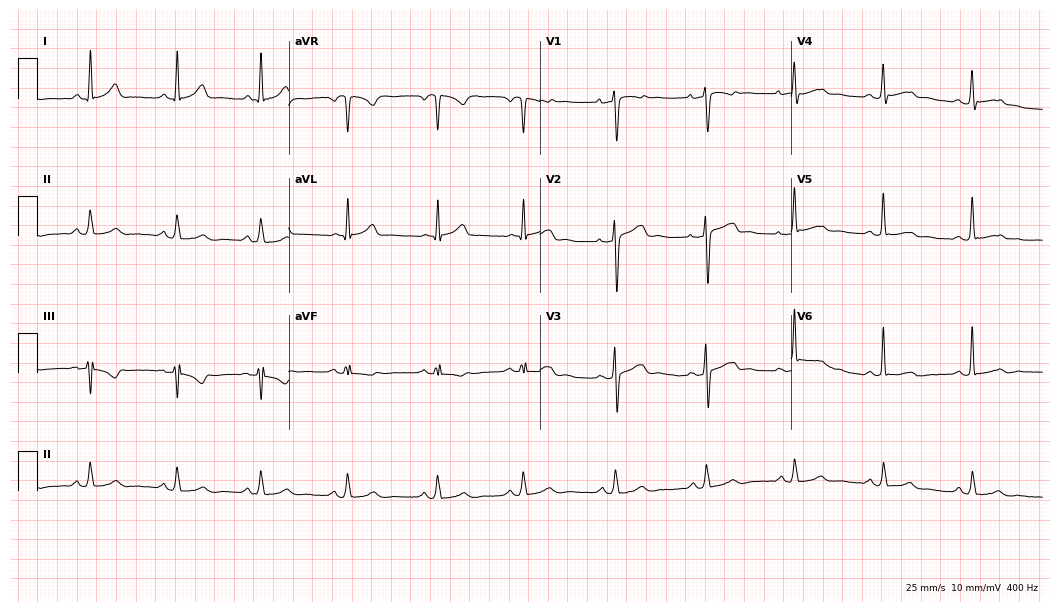
12-lead ECG from a male patient, 35 years old. No first-degree AV block, right bundle branch block (RBBB), left bundle branch block (LBBB), sinus bradycardia, atrial fibrillation (AF) or sinus tachycardia recorded for this tracing.